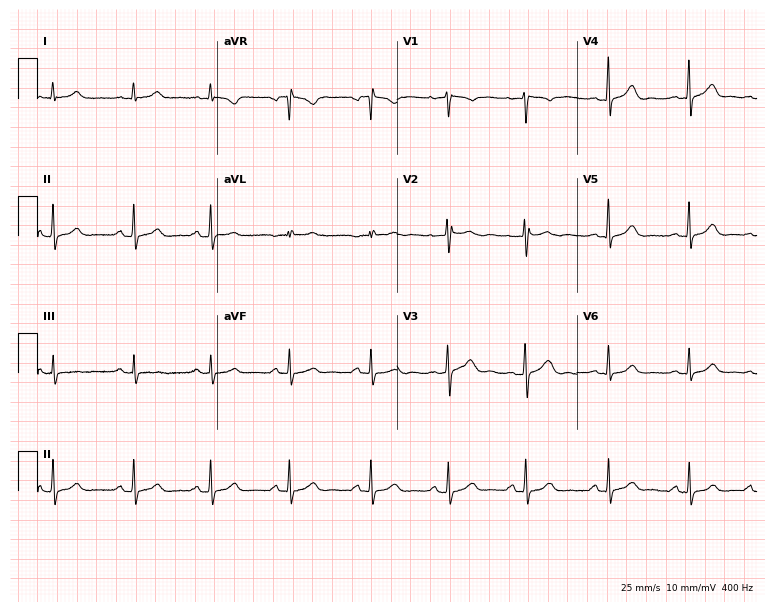
Resting 12-lead electrocardiogram (7.3-second recording at 400 Hz). Patient: a female, 25 years old. None of these six findings is recorded: first-degree AV block, right bundle branch block, left bundle branch block, sinus bradycardia, atrial fibrillation, sinus tachycardia. Findings outside these six are not listed.